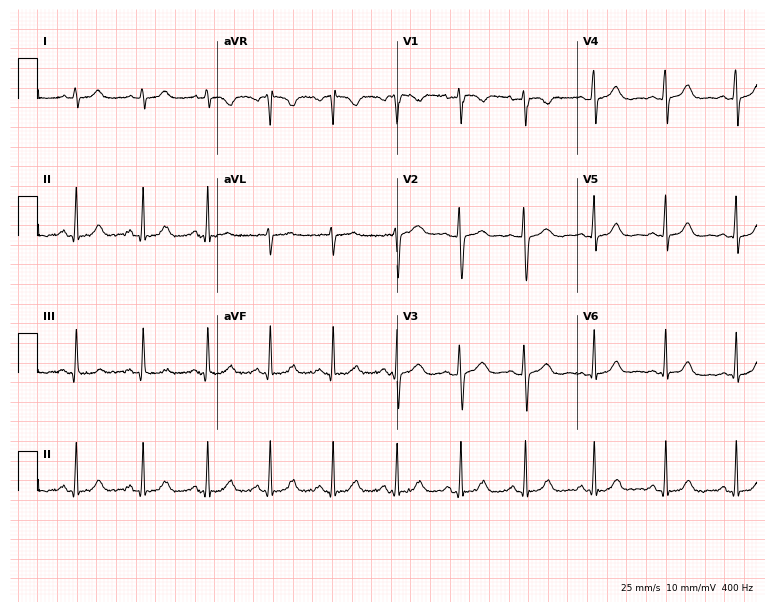
12-lead ECG (7.3-second recording at 400 Hz) from a female patient, 44 years old. Labelled as a normal ECG.